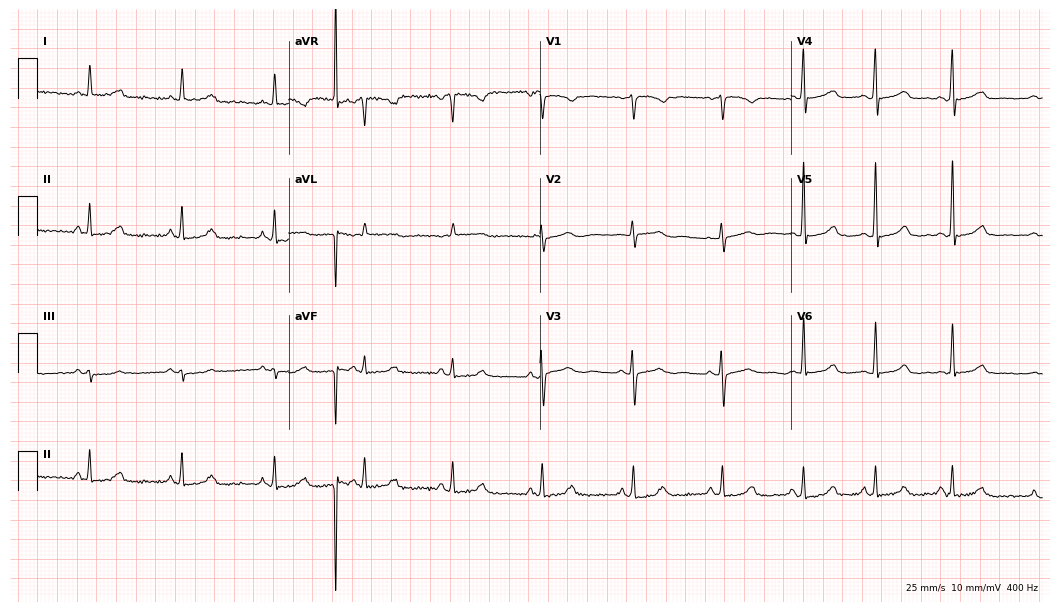
12-lead ECG from a 46-year-old woman (10.2-second recording at 400 Hz). Recorded interpretation: within normal limits.